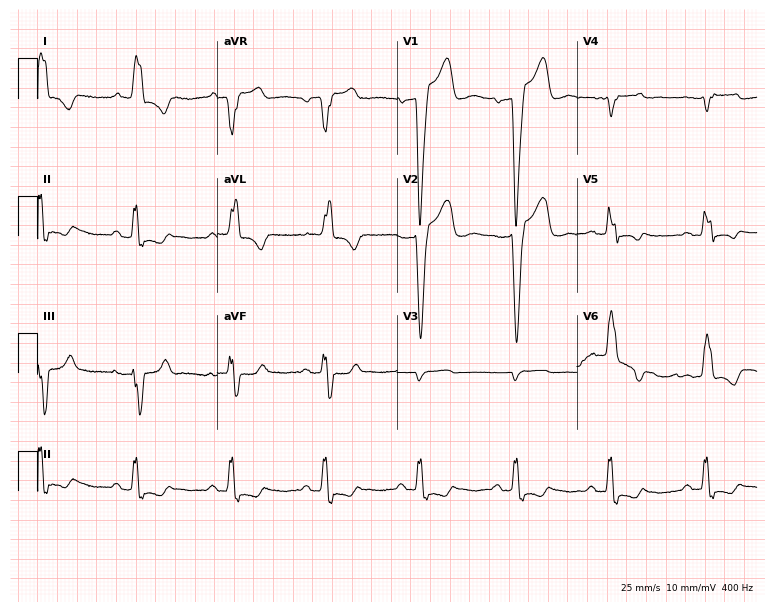
12-lead ECG from a 70-year-old woman. Findings include left bundle branch block.